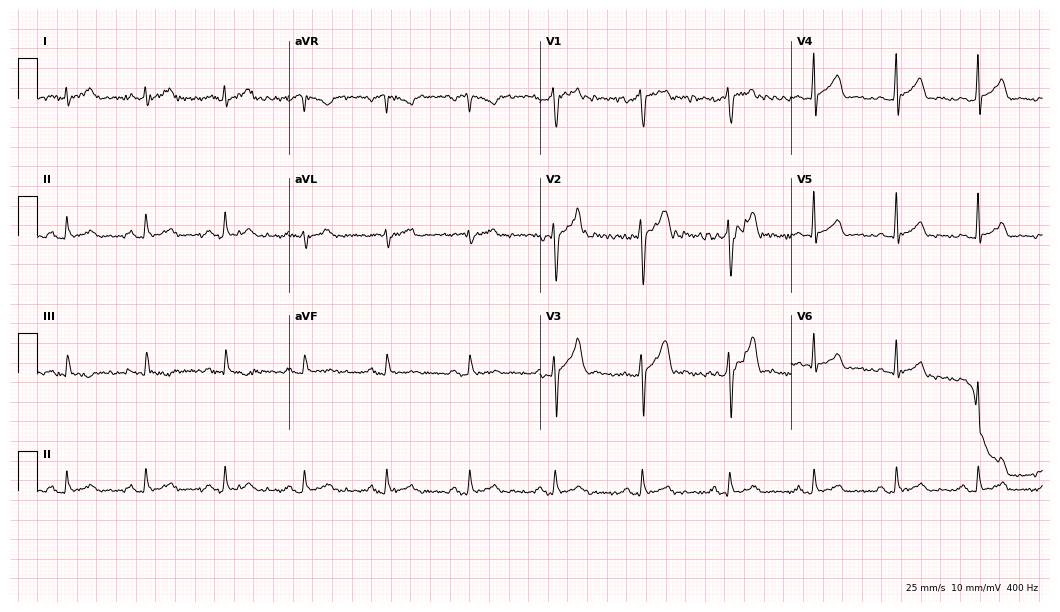
12-lead ECG from a 41-year-old man. Screened for six findings — first-degree AV block, right bundle branch block, left bundle branch block, sinus bradycardia, atrial fibrillation, sinus tachycardia — none is recorded. Only these six findings were labelled.